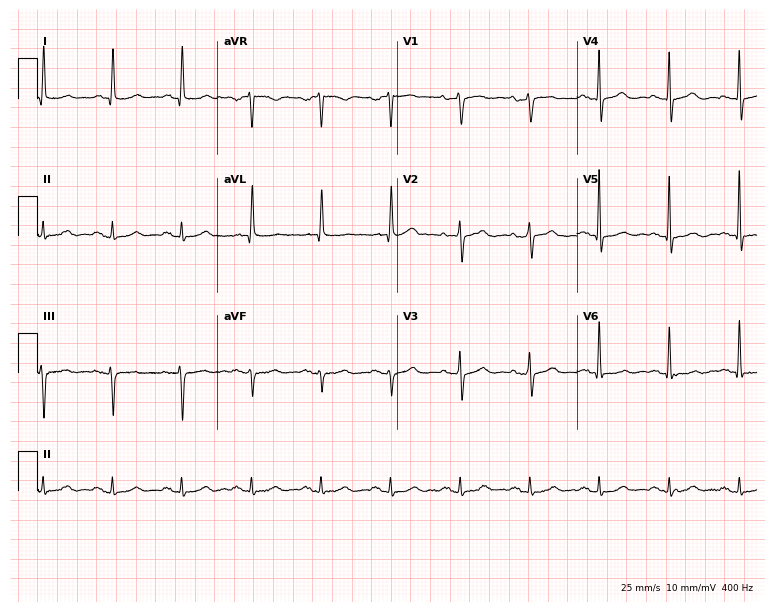
12-lead ECG (7.3-second recording at 400 Hz) from a 77-year-old male patient. Screened for six findings — first-degree AV block, right bundle branch block, left bundle branch block, sinus bradycardia, atrial fibrillation, sinus tachycardia — none is recorded. Other findings, if any, are not listed.